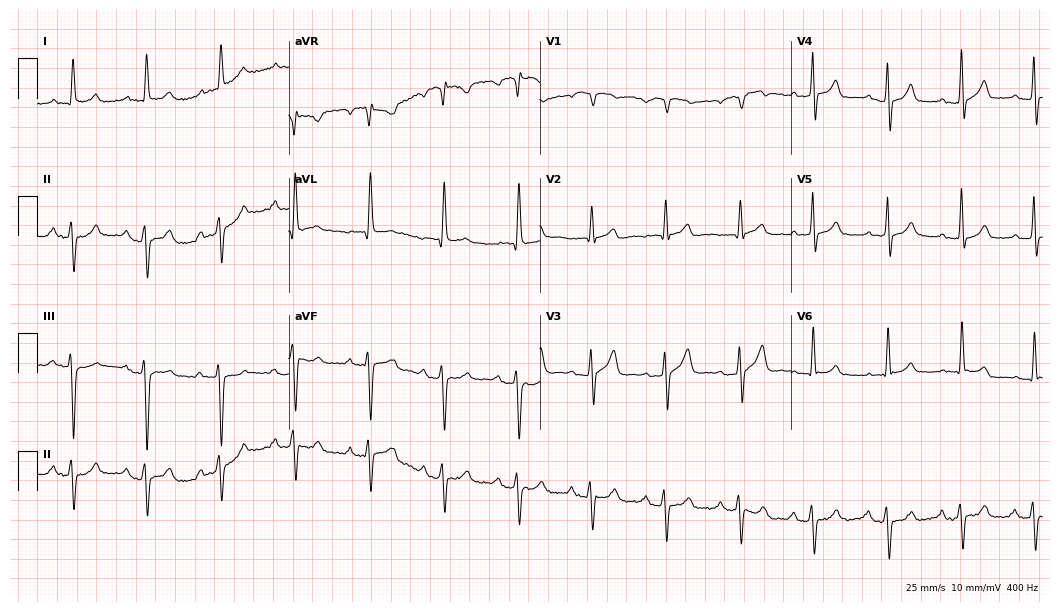
ECG — an 86-year-old woman. Screened for six findings — first-degree AV block, right bundle branch block (RBBB), left bundle branch block (LBBB), sinus bradycardia, atrial fibrillation (AF), sinus tachycardia — none is recorded.